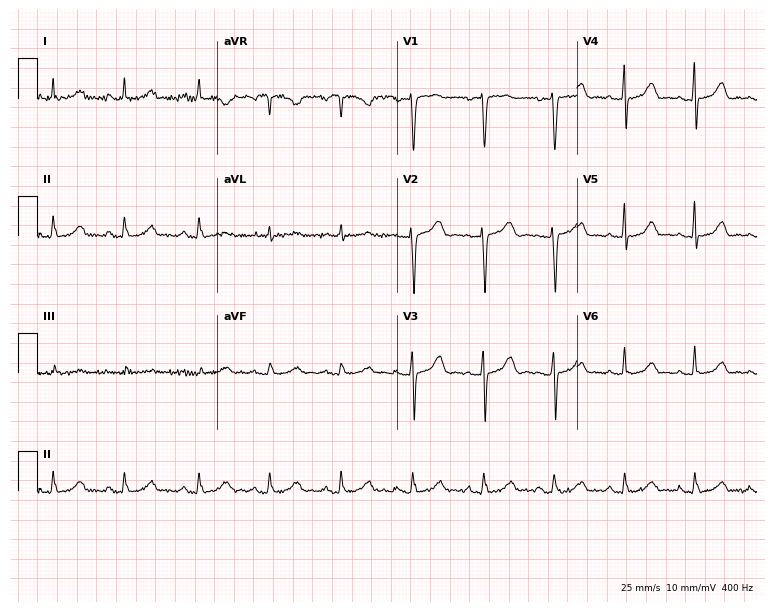
12-lead ECG from a woman, 57 years old (7.3-second recording at 400 Hz). Recorded interpretation: within normal limits.